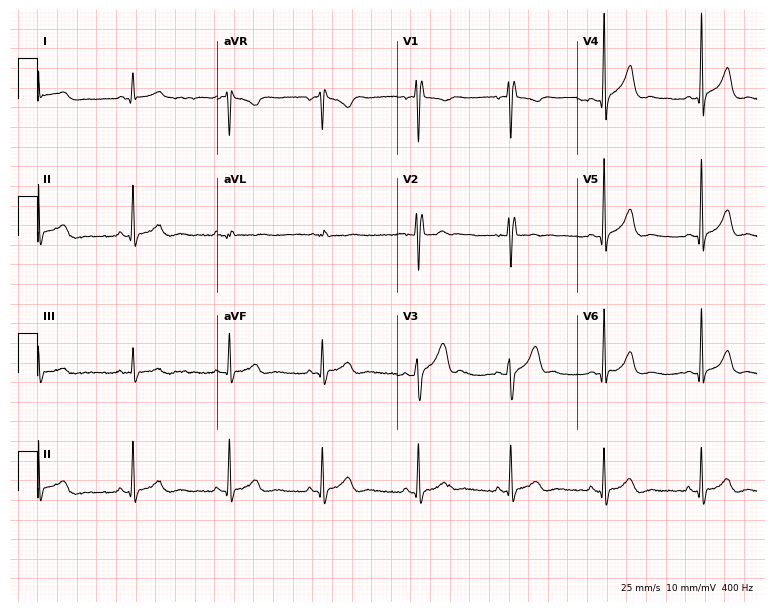
12-lead ECG from a 29-year-old male. No first-degree AV block, right bundle branch block, left bundle branch block, sinus bradycardia, atrial fibrillation or sinus tachycardia recorded for this tracing.